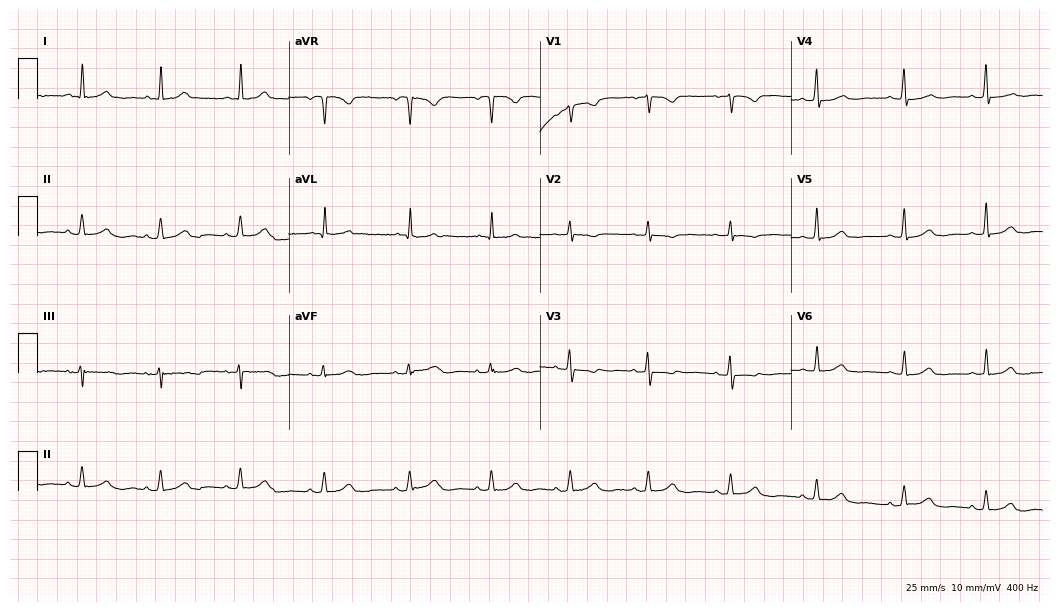
Standard 12-lead ECG recorded from a woman, 46 years old. None of these six findings is recorded: first-degree AV block, right bundle branch block (RBBB), left bundle branch block (LBBB), sinus bradycardia, atrial fibrillation (AF), sinus tachycardia. Other findings, if any, are not listed.